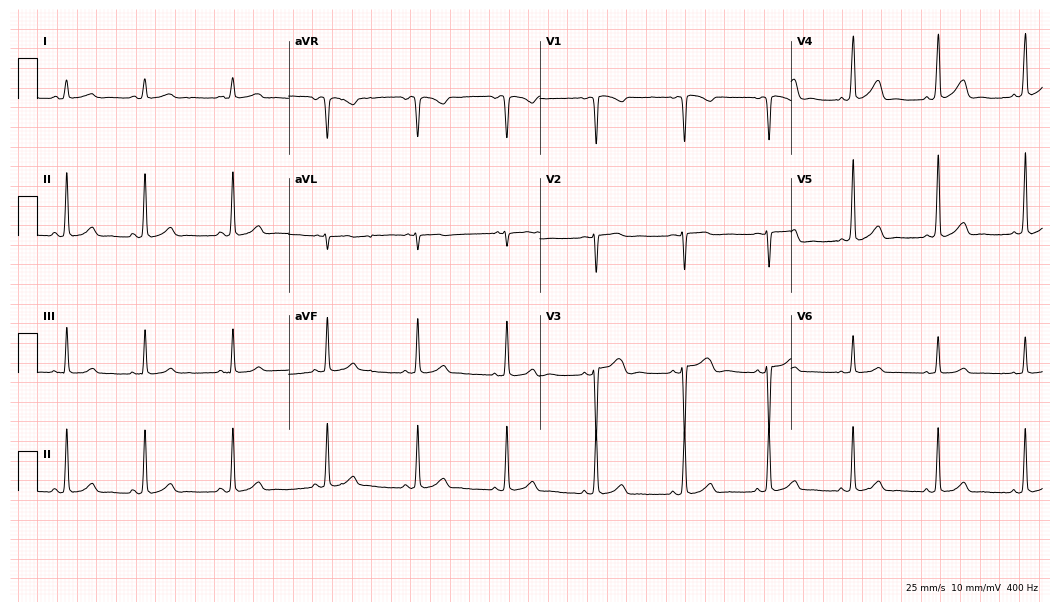
Electrocardiogram (10.2-second recording at 400 Hz), a 24-year-old female patient. Overall reading on record: normal ECG.